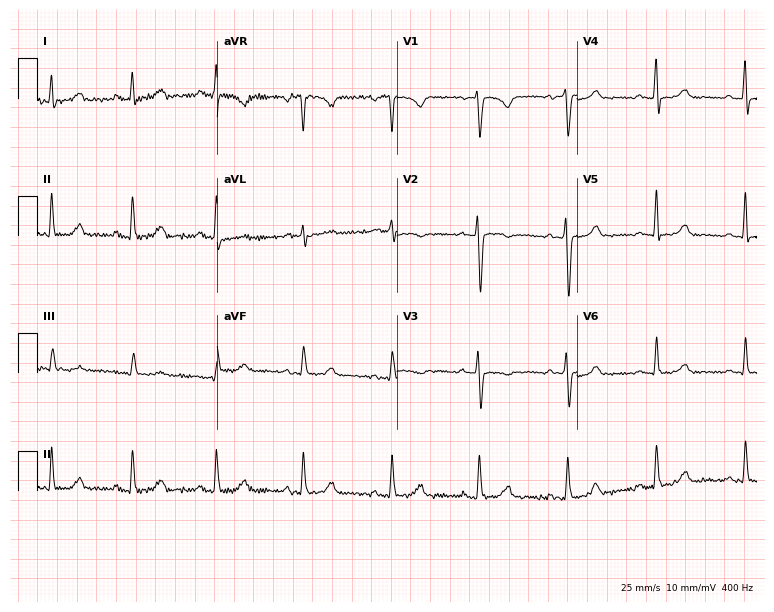
Standard 12-lead ECG recorded from a 46-year-old female patient (7.3-second recording at 400 Hz). None of these six findings is recorded: first-degree AV block, right bundle branch block, left bundle branch block, sinus bradycardia, atrial fibrillation, sinus tachycardia.